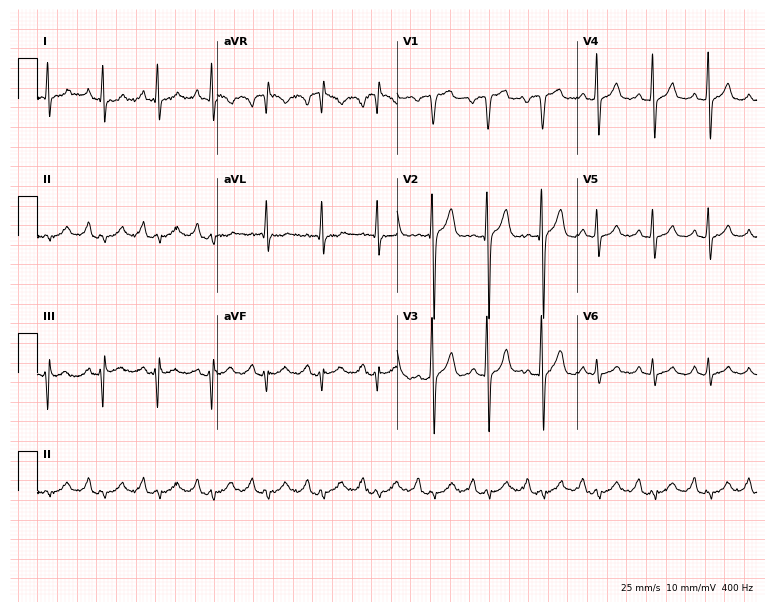
12-lead ECG (7.3-second recording at 400 Hz) from a 55-year-old male patient. Findings include sinus tachycardia (a sinus rate of 100 beats per minute or more).